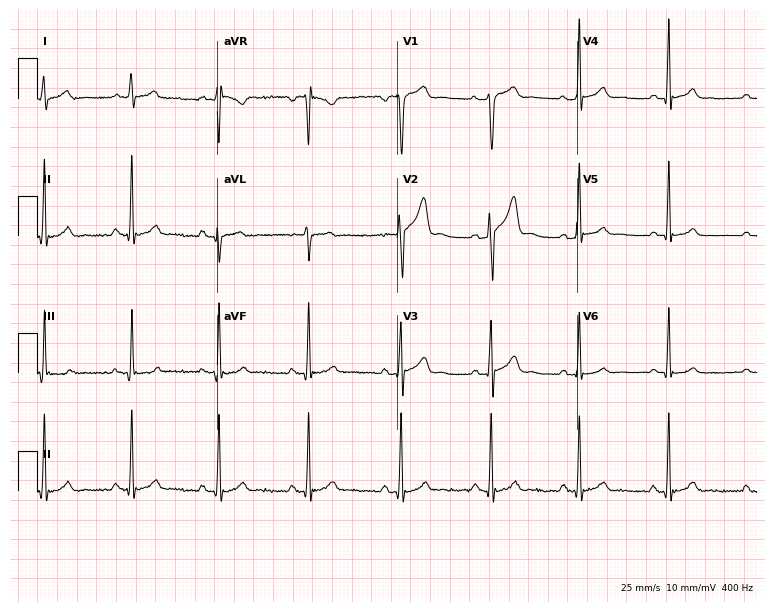
ECG — a 25-year-old man. Labelled as a normal ECG.